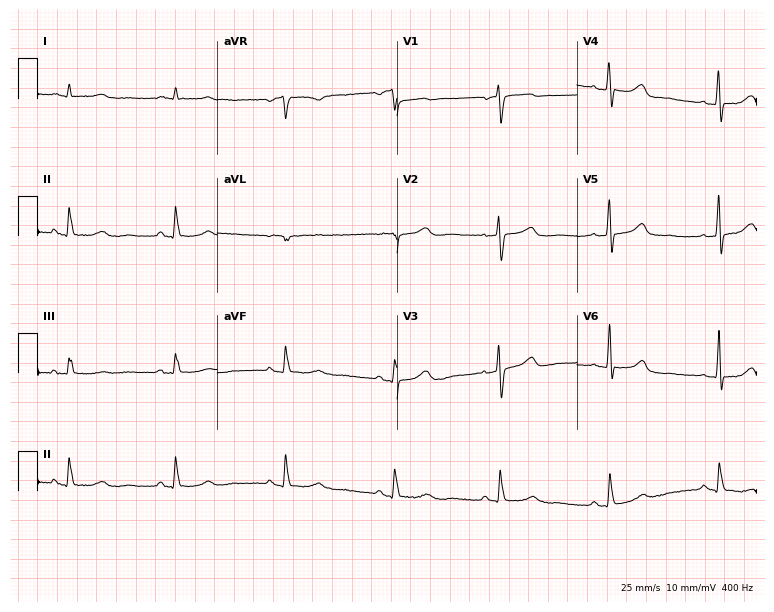
ECG (7.3-second recording at 400 Hz) — a male patient, 81 years old. Screened for six findings — first-degree AV block, right bundle branch block (RBBB), left bundle branch block (LBBB), sinus bradycardia, atrial fibrillation (AF), sinus tachycardia — none is recorded. Other findings, if any, are not listed.